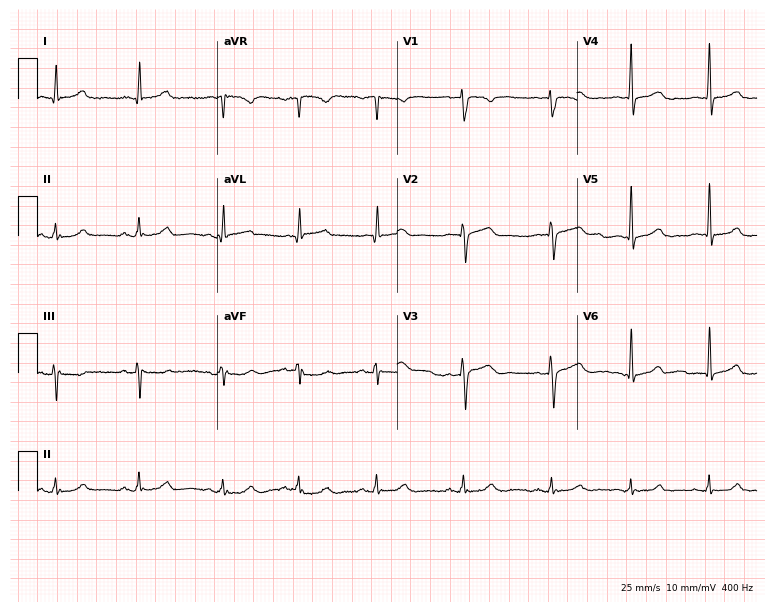
12-lead ECG from a 33-year-old female. Labelled as a normal ECG.